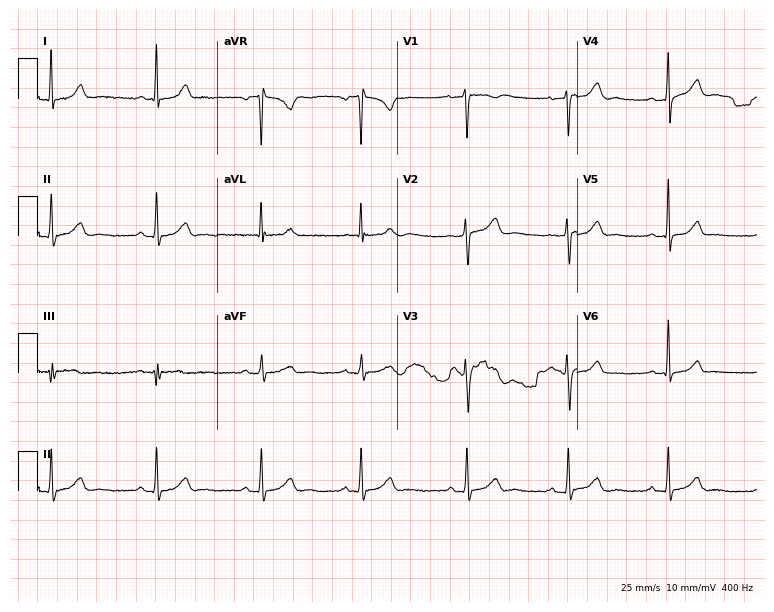
ECG (7.3-second recording at 400 Hz) — a female patient, 25 years old. Screened for six findings — first-degree AV block, right bundle branch block, left bundle branch block, sinus bradycardia, atrial fibrillation, sinus tachycardia — none is recorded.